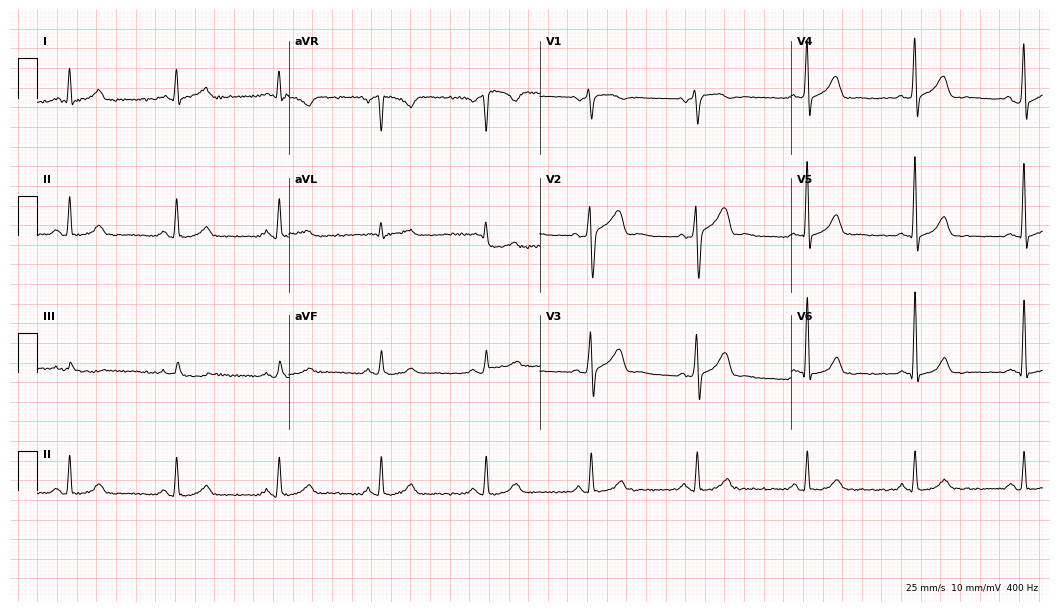
Resting 12-lead electrocardiogram. Patient: a 53-year-old male. Read as a normal ECG.